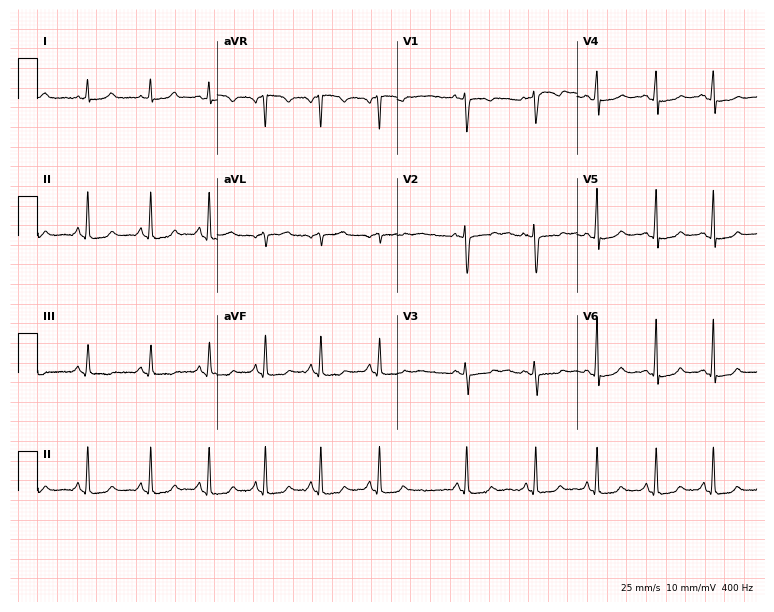
ECG — a female patient, 39 years old. Labelled as a normal ECG.